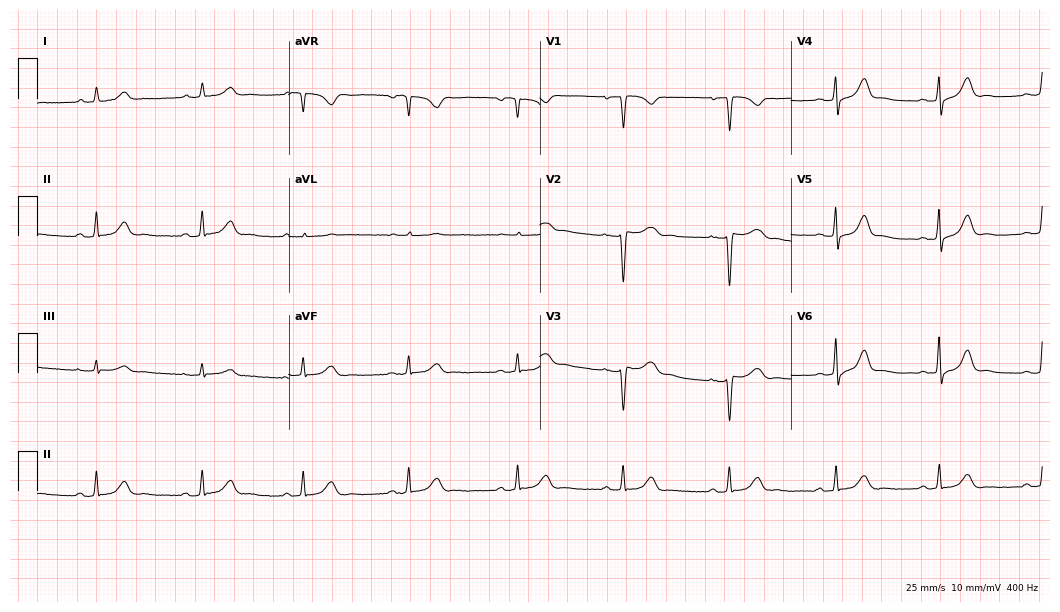
Electrocardiogram, a woman, 44 years old. Of the six screened findings (first-degree AV block, right bundle branch block, left bundle branch block, sinus bradycardia, atrial fibrillation, sinus tachycardia), none is recorded. Other findings, if any, are not listed.